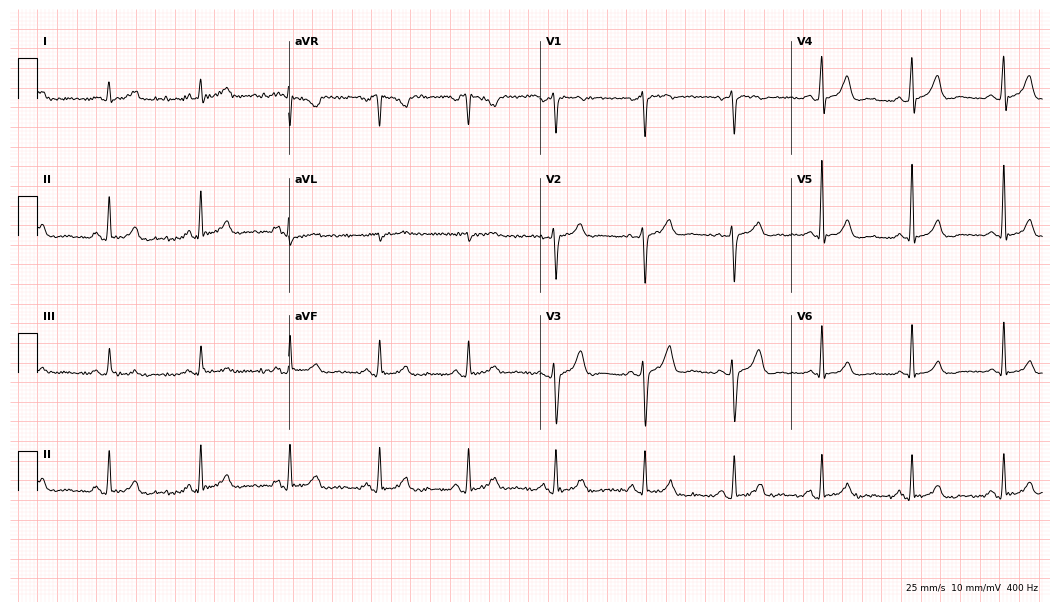
Standard 12-lead ECG recorded from a man, 54 years old (10.2-second recording at 400 Hz). Read as a normal ECG.